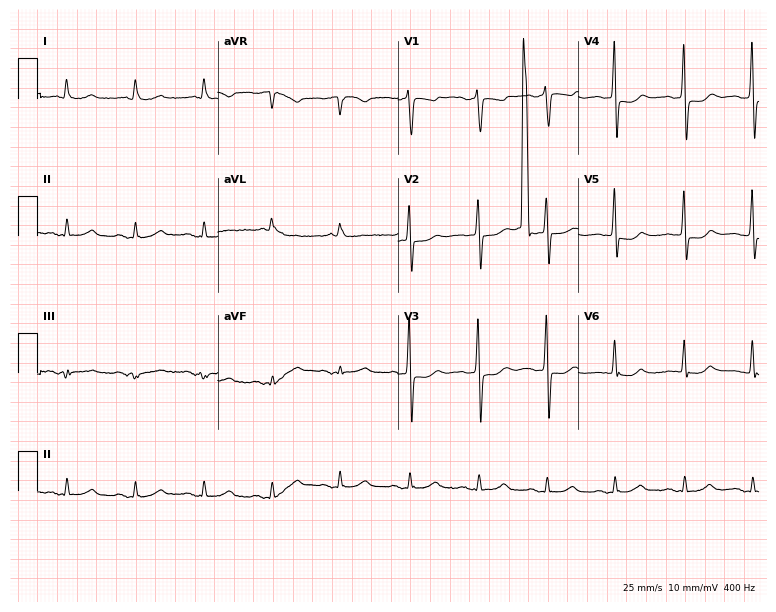
Electrocardiogram (7.4-second recording at 400 Hz), a woman, 87 years old. Of the six screened findings (first-degree AV block, right bundle branch block, left bundle branch block, sinus bradycardia, atrial fibrillation, sinus tachycardia), none is recorded.